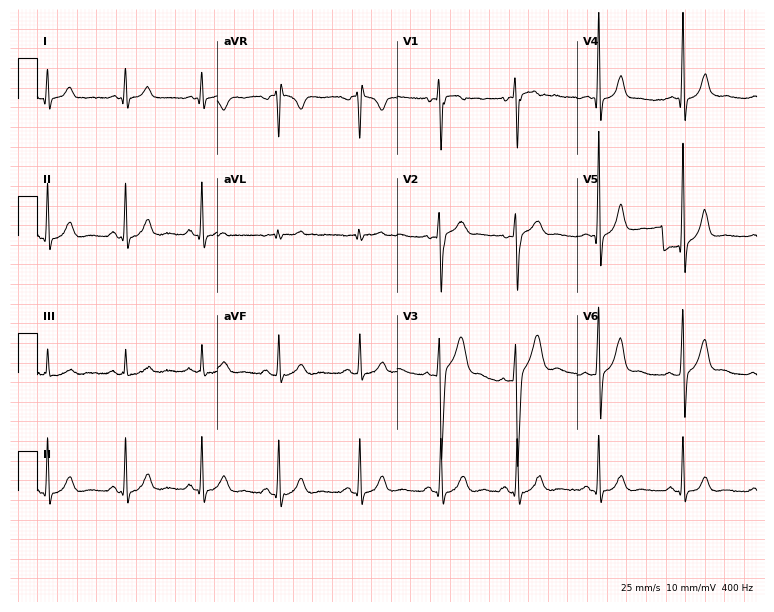
Resting 12-lead electrocardiogram (7.3-second recording at 400 Hz). Patient: a man, 20 years old. Read as a normal ECG.